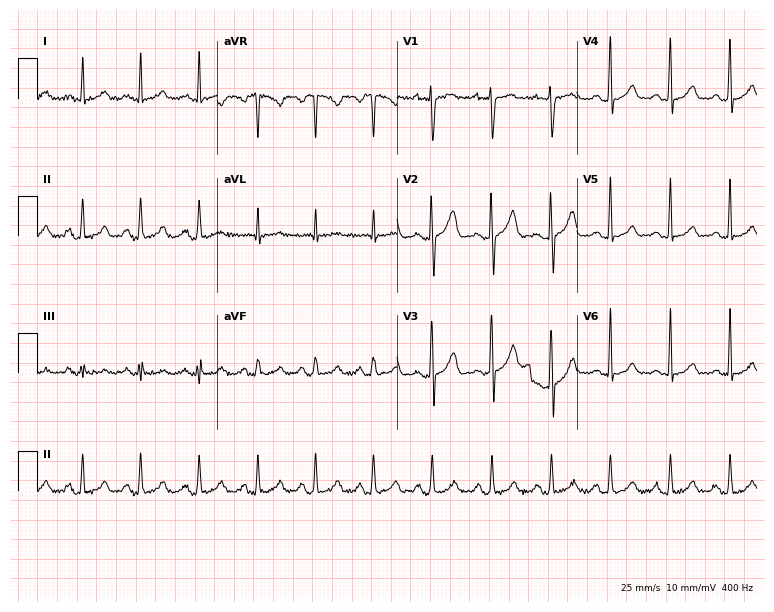
Electrocardiogram, a woman, 20 years old. Of the six screened findings (first-degree AV block, right bundle branch block, left bundle branch block, sinus bradycardia, atrial fibrillation, sinus tachycardia), none is recorded. Only these six findings were labelled.